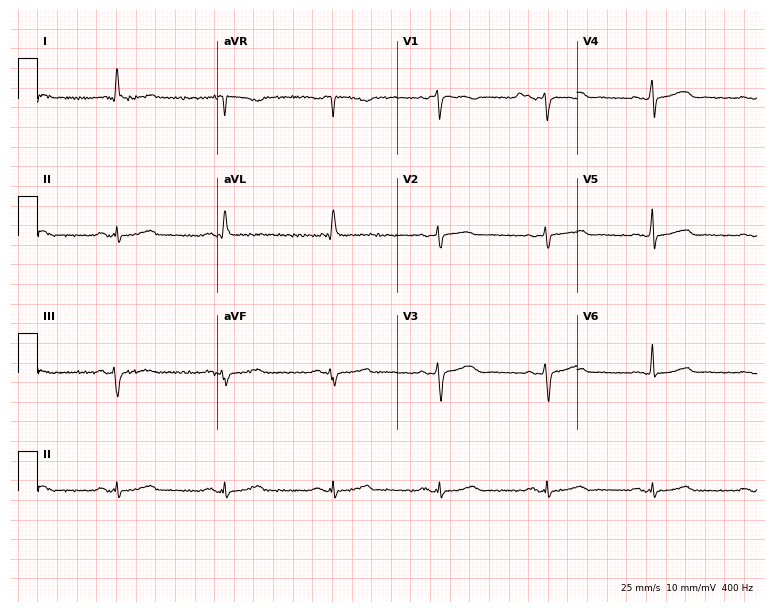
12-lead ECG from a man, 76 years old. Labelled as a normal ECG.